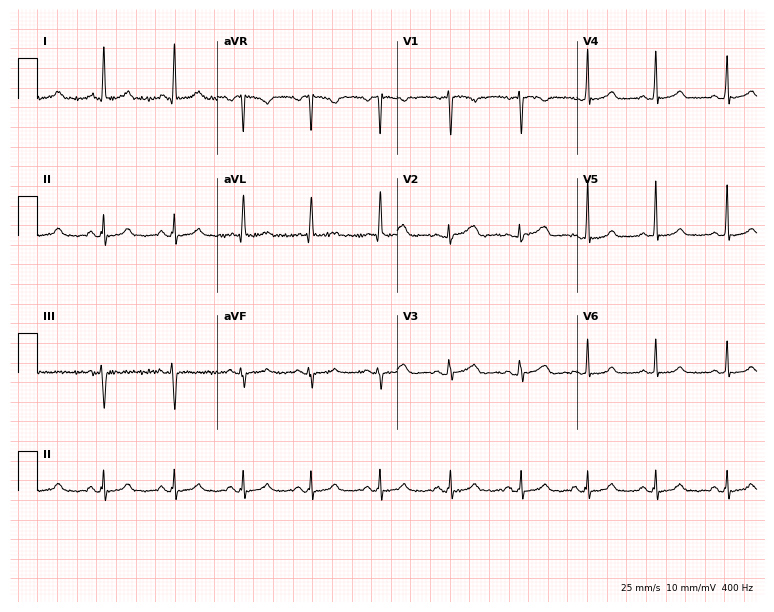
Standard 12-lead ECG recorded from a female patient, 49 years old (7.3-second recording at 400 Hz). None of these six findings is recorded: first-degree AV block, right bundle branch block (RBBB), left bundle branch block (LBBB), sinus bradycardia, atrial fibrillation (AF), sinus tachycardia.